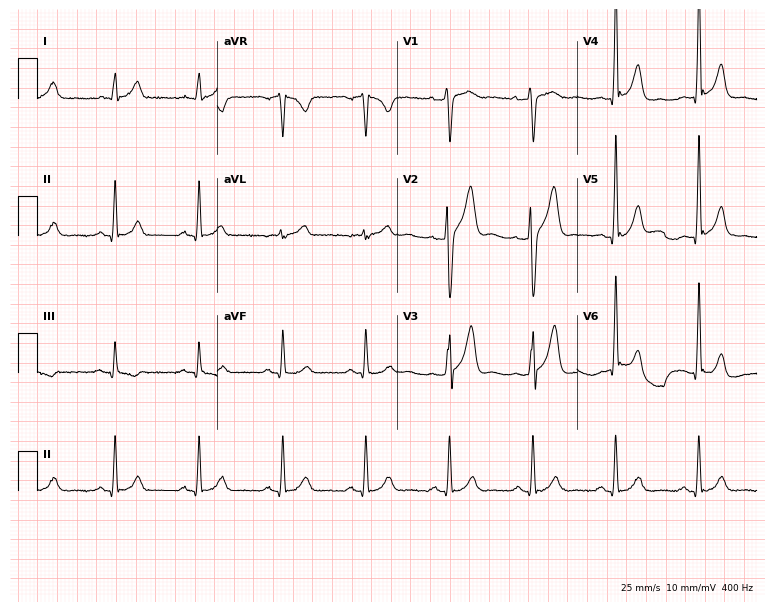
Standard 12-lead ECG recorded from a 34-year-old male (7.3-second recording at 400 Hz). None of these six findings is recorded: first-degree AV block, right bundle branch block (RBBB), left bundle branch block (LBBB), sinus bradycardia, atrial fibrillation (AF), sinus tachycardia.